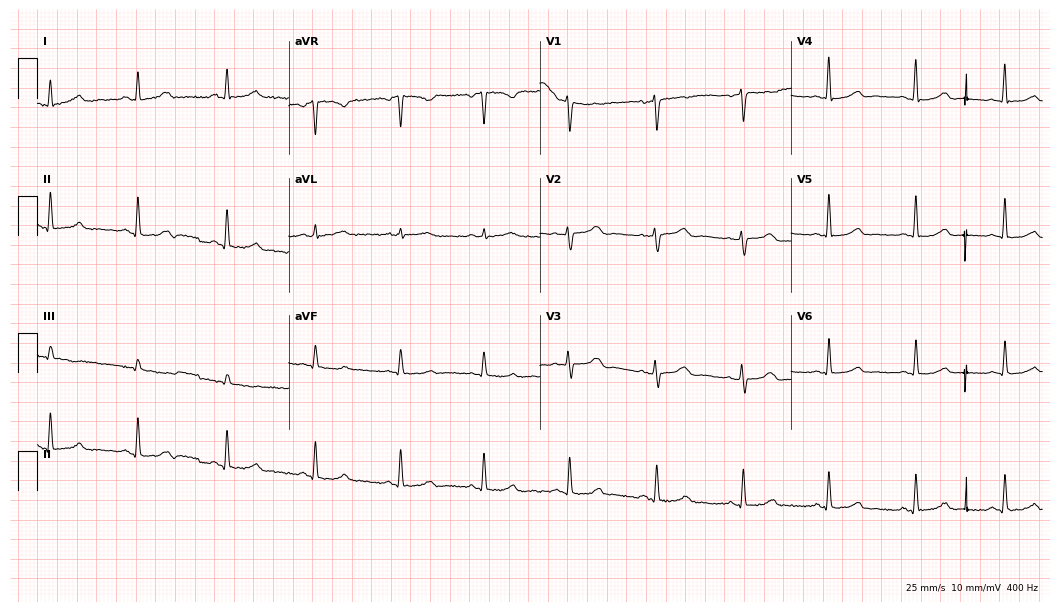
12-lead ECG (10.2-second recording at 400 Hz) from a 46-year-old female patient. Screened for six findings — first-degree AV block, right bundle branch block, left bundle branch block, sinus bradycardia, atrial fibrillation, sinus tachycardia — none is recorded. Other findings, if any, are not listed.